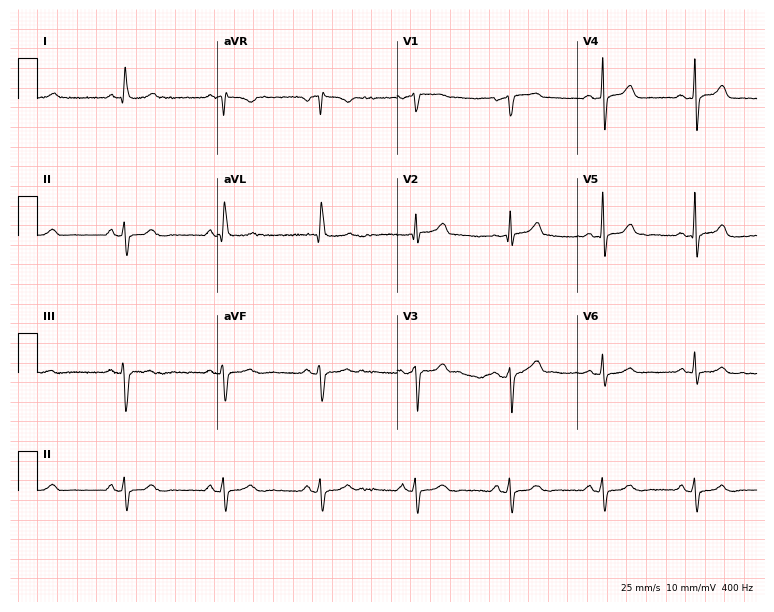
12-lead ECG from a man, 52 years old. Screened for six findings — first-degree AV block, right bundle branch block (RBBB), left bundle branch block (LBBB), sinus bradycardia, atrial fibrillation (AF), sinus tachycardia — none is recorded. Only these six findings were labelled.